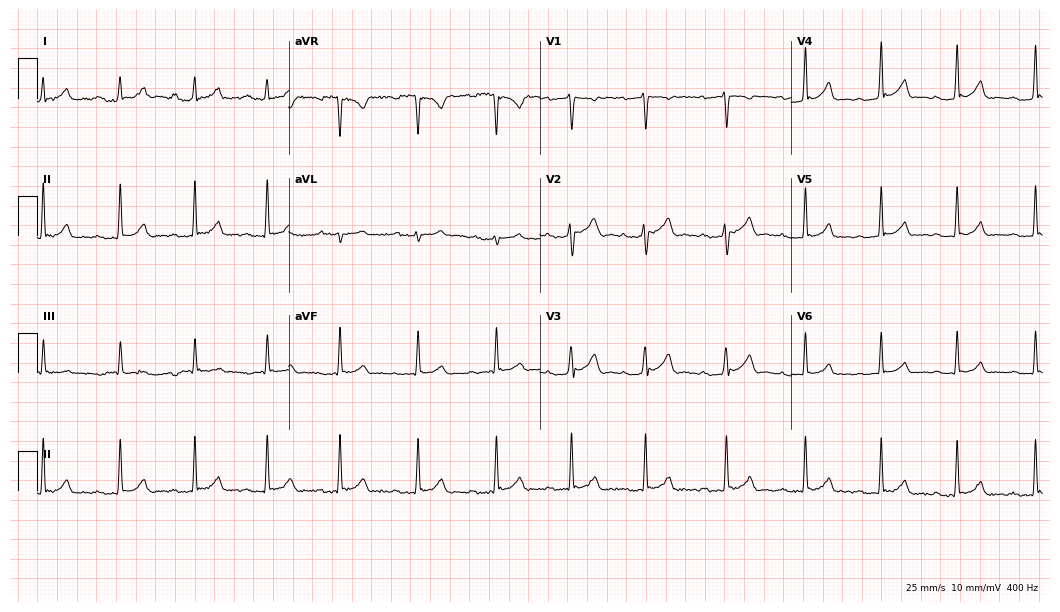
Electrocardiogram, a female patient, 29 years old. Interpretation includes first-degree AV block.